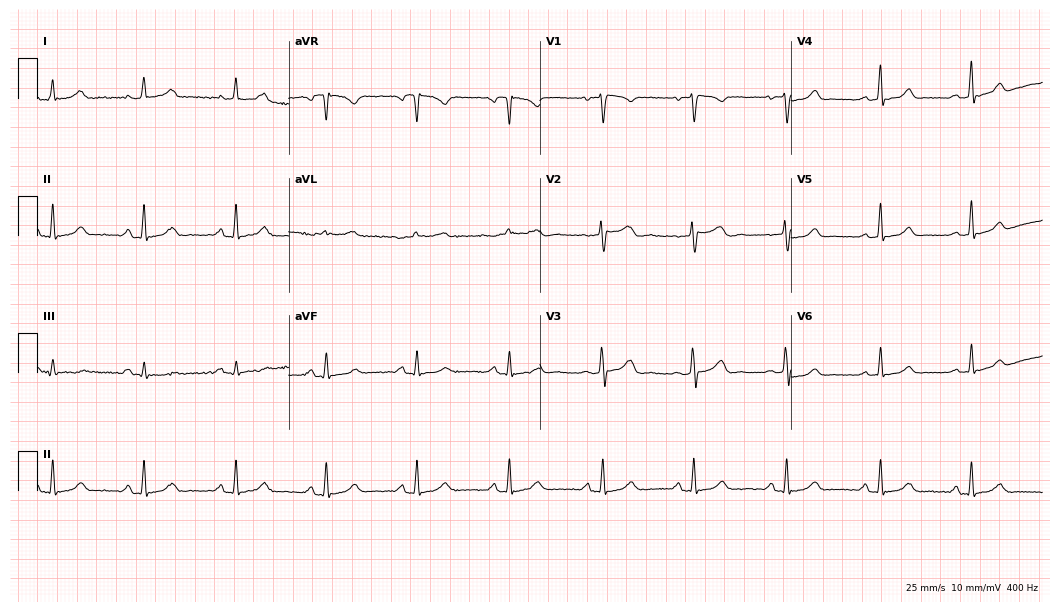
ECG (10.2-second recording at 400 Hz) — a female patient, 45 years old. Labelled as a normal ECG.